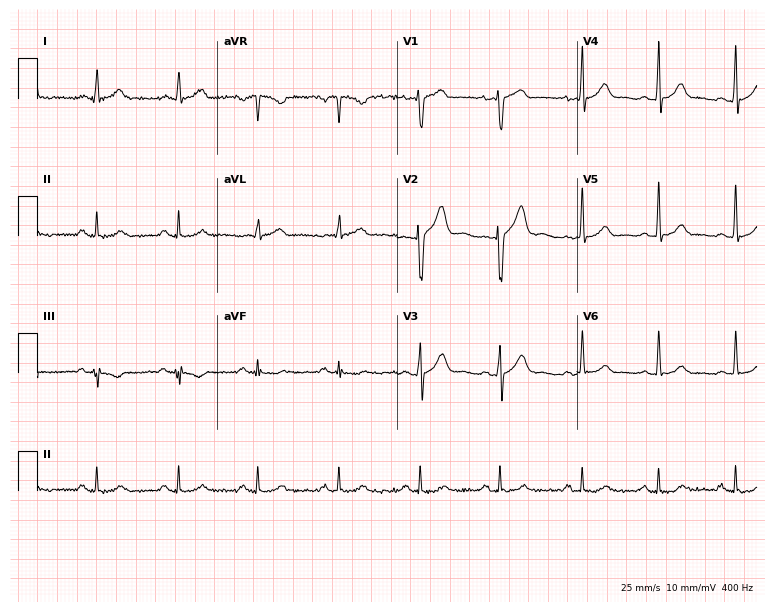
ECG — a male patient, 38 years old. Labelled as a normal ECG.